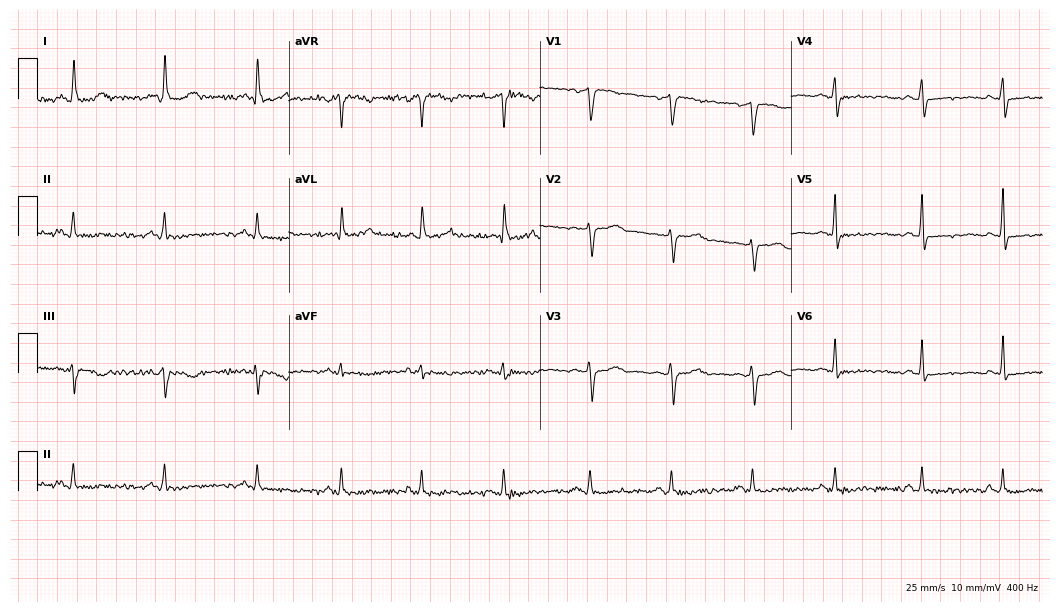
ECG — a 58-year-old female patient. Screened for six findings — first-degree AV block, right bundle branch block, left bundle branch block, sinus bradycardia, atrial fibrillation, sinus tachycardia — none is recorded. Findings outside these six are not listed.